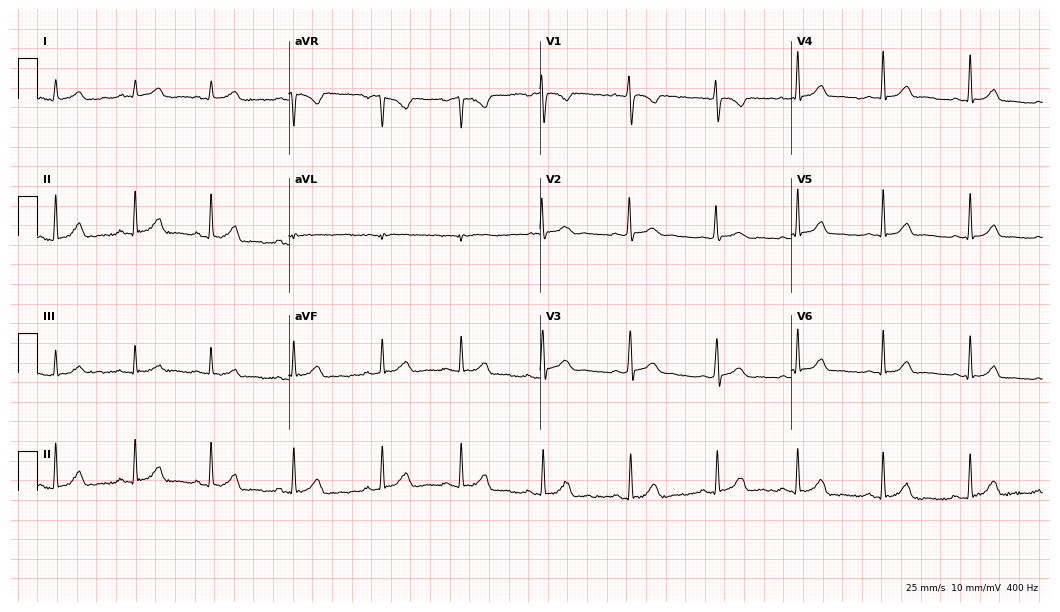
ECG (10.2-second recording at 400 Hz) — a female, 19 years old. Labelled as a normal ECG.